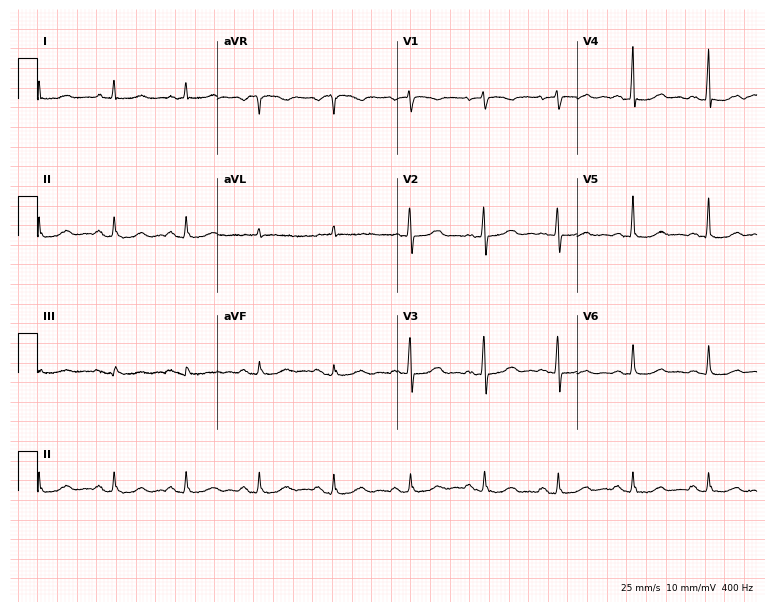
ECG (7.3-second recording at 400 Hz) — a 74-year-old female. Labelled as a normal ECG.